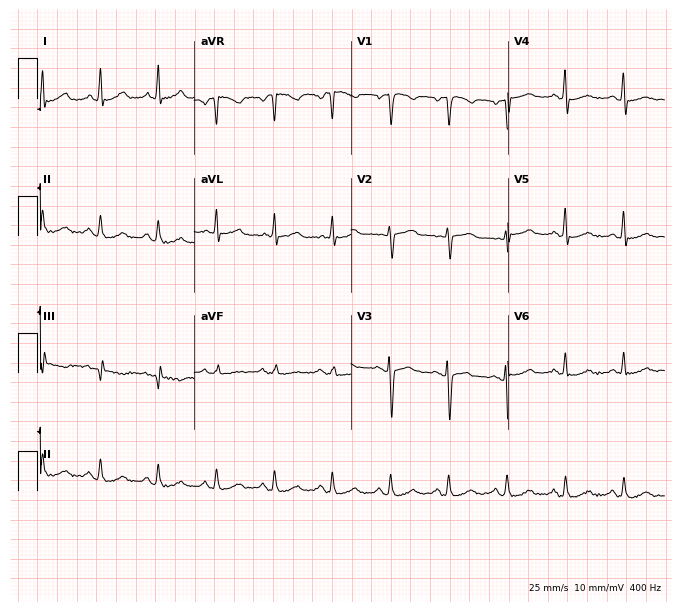
Resting 12-lead electrocardiogram (6.4-second recording at 400 Hz). Patient: a female, 49 years old. None of these six findings is recorded: first-degree AV block, right bundle branch block (RBBB), left bundle branch block (LBBB), sinus bradycardia, atrial fibrillation (AF), sinus tachycardia.